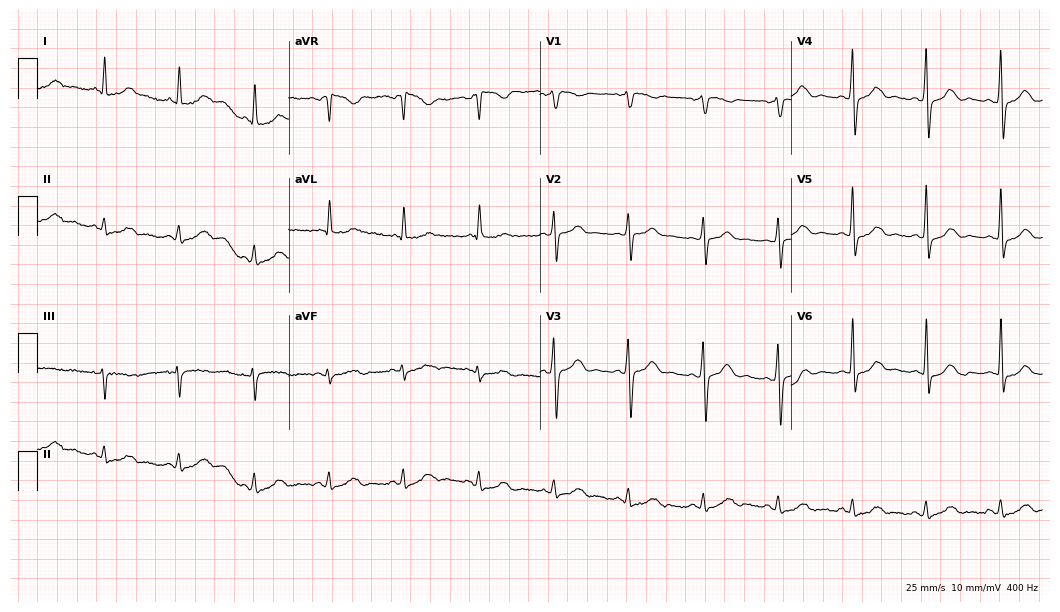
12-lead ECG from a 64-year-old woman. Recorded interpretation: within normal limits.